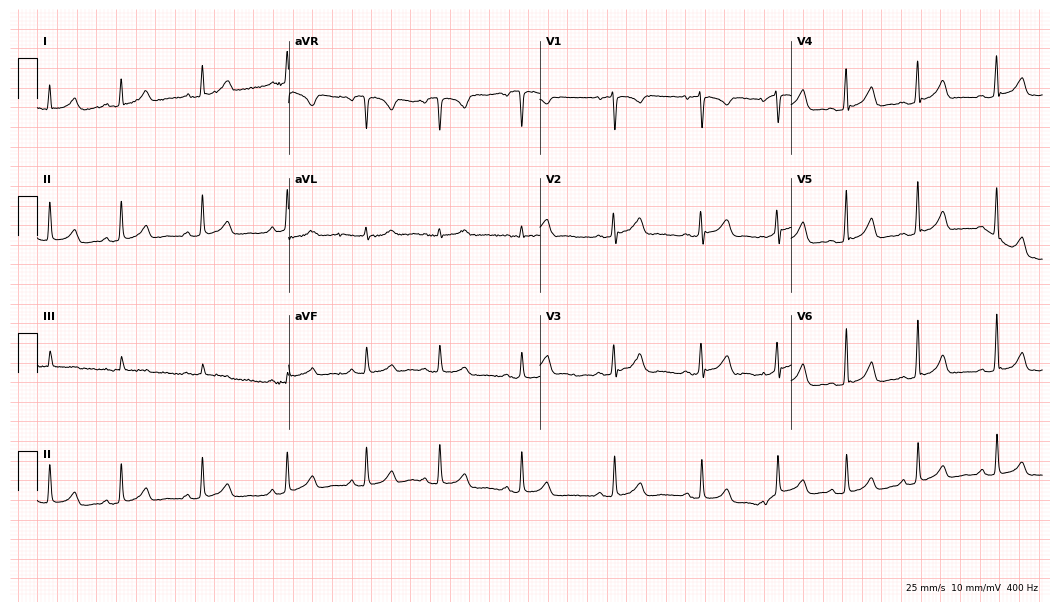
12-lead ECG (10.2-second recording at 400 Hz) from a female patient, 20 years old. Labelled as a normal ECG.